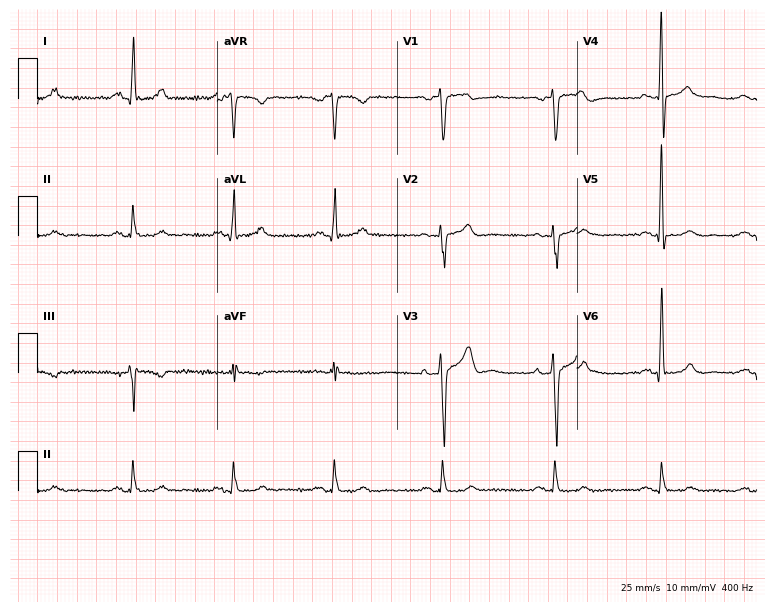
ECG (7.3-second recording at 400 Hz) — a 42-year-old man. Labelled as a normal ECG.